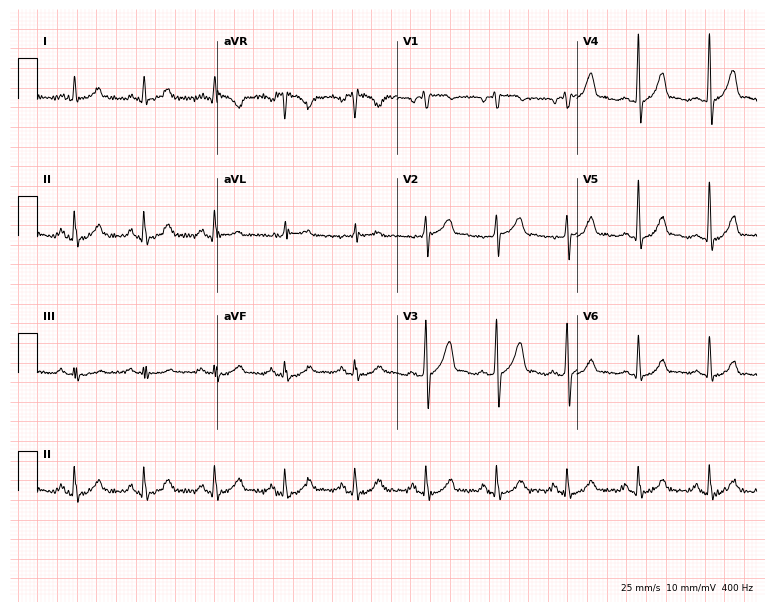
12-lead ECG (7.3-second recording at 400 Hz) from a male patient, 51 years old. Labelled as a normal ECG.